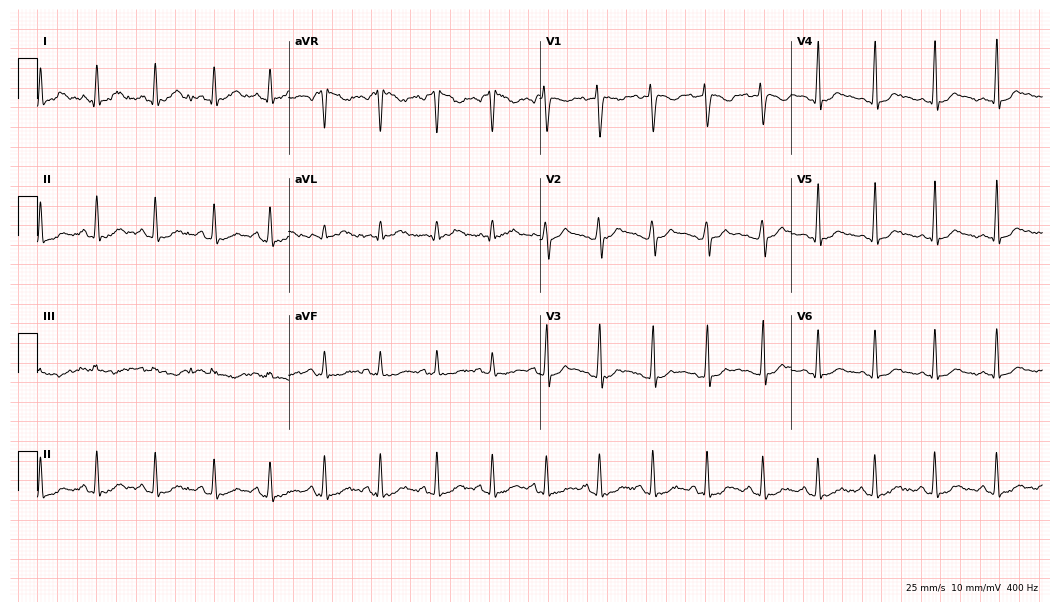
Resting 12-lead electrocardiogram (10.2-second recording at 400 Hz). Patient: a 21-year-old female. The tracing shows sinus tachycardia (a sinus rate of 100 beats per minute or more).